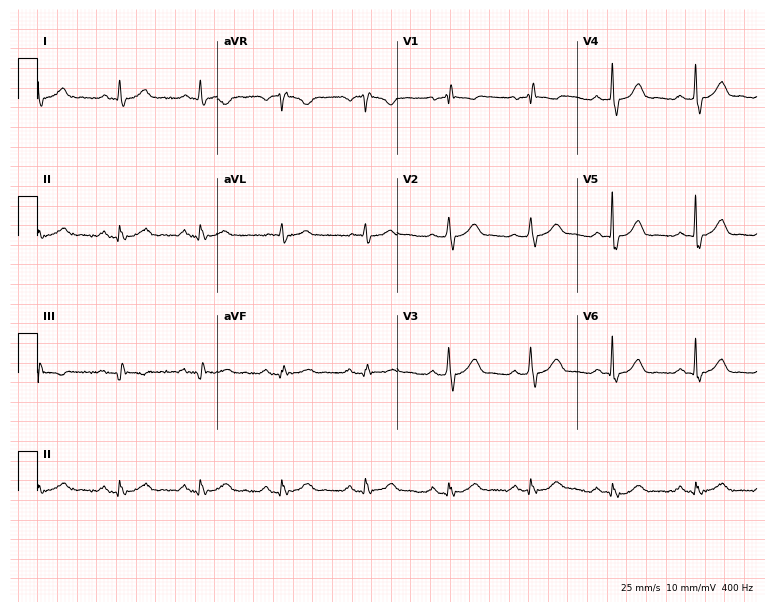
12-lead ECG from a male patient, 70 years old. Screened for six findings — first-degree AV block, right bundle branch block, left bundle branch block, sinus bradycardia, atrial fibrillation, sinus tachycardia — none is recorded. Findings outside these six are not listed.